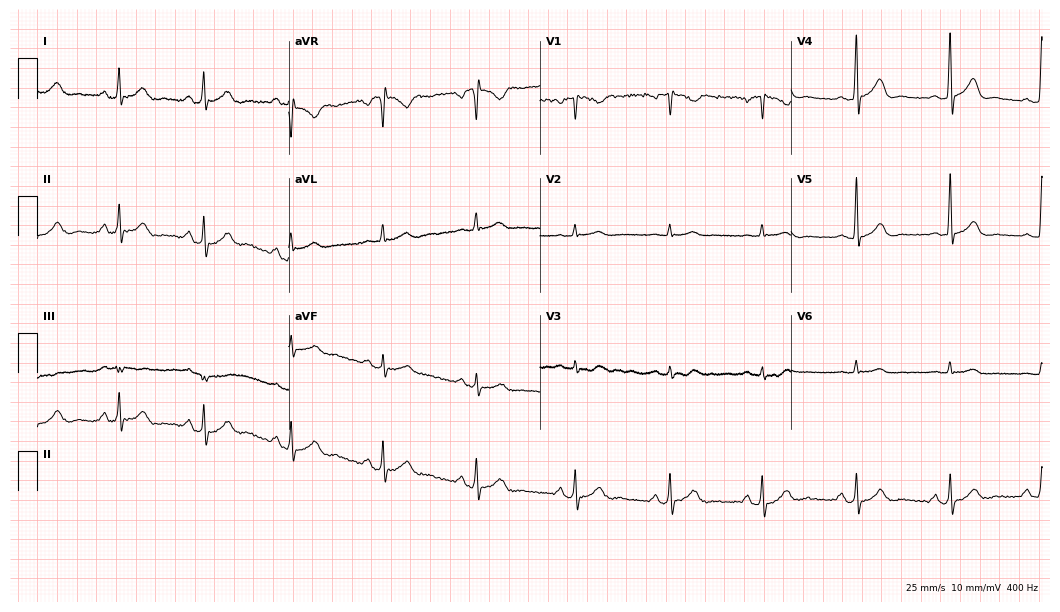
Resting 12-lead electrocardiogram (10.2-second recording at 400 Hz). Patient: a male, 75 years old. Read as a normal ECG.